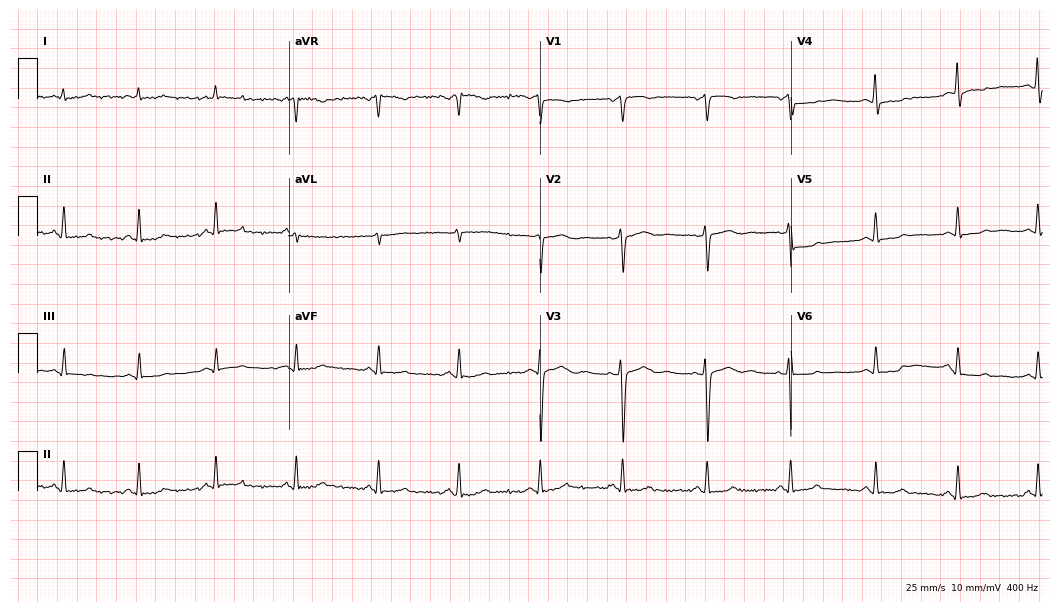
Electrocardiogram, a 45-year-old female patient. Of the six screened findings (first-degree AV block, right bundle branch block (RBBB), left bundle branch block (LBBB), sinus bradycardia, atrial fibrillation (AF), sinus tachycardia), none is recorded. Other findings, if any, are not listed.